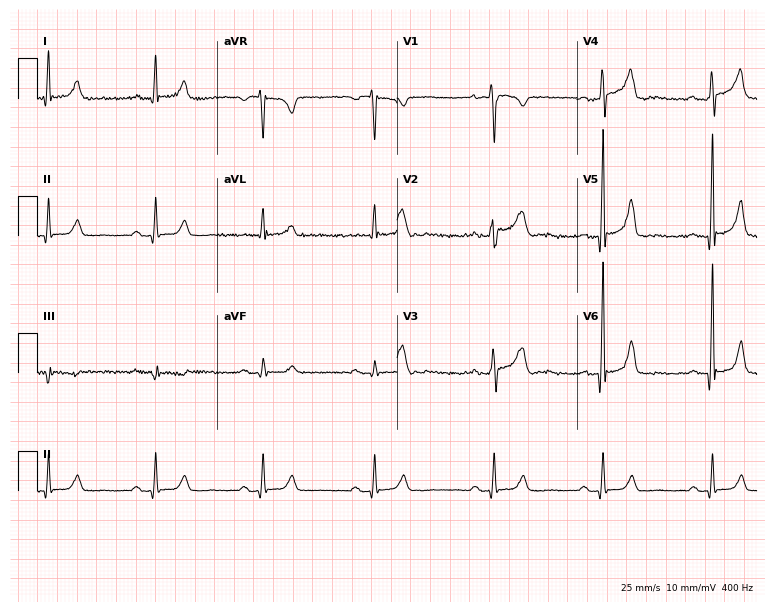
Electrocardiogram, a man, 58 years old. Of the six screened findings (first-degree AV block, right bundle branch block, left bundle branch block, sinus bradycardia, atrial fibrillation, sinus tachycardia), none is recorded.